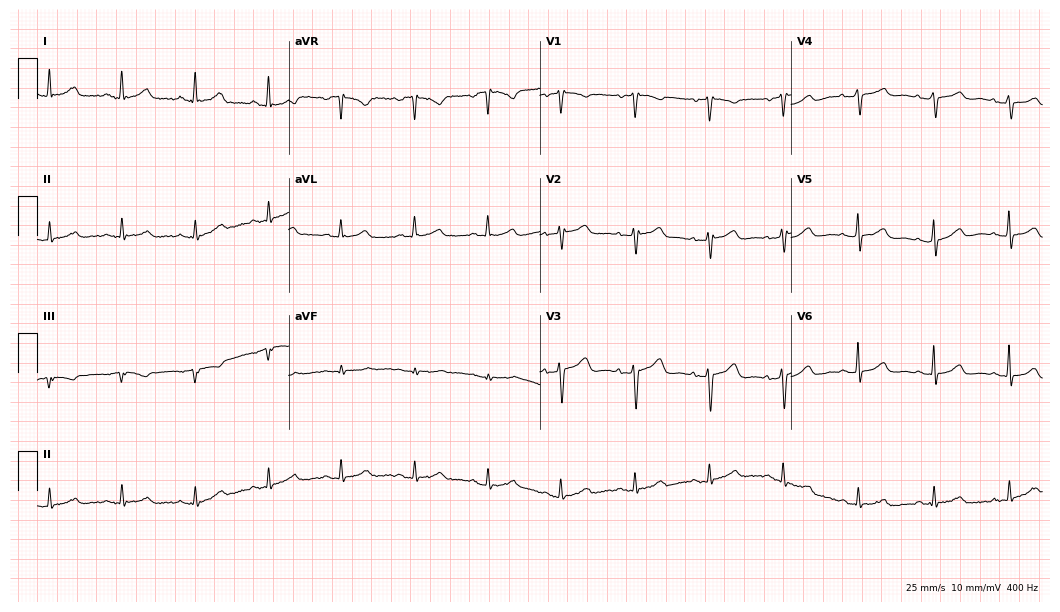
Standard 12-lead ECG recorded from a 74-year-old female (10.2-second recording at 400 Hz). Read as a normal ECG.